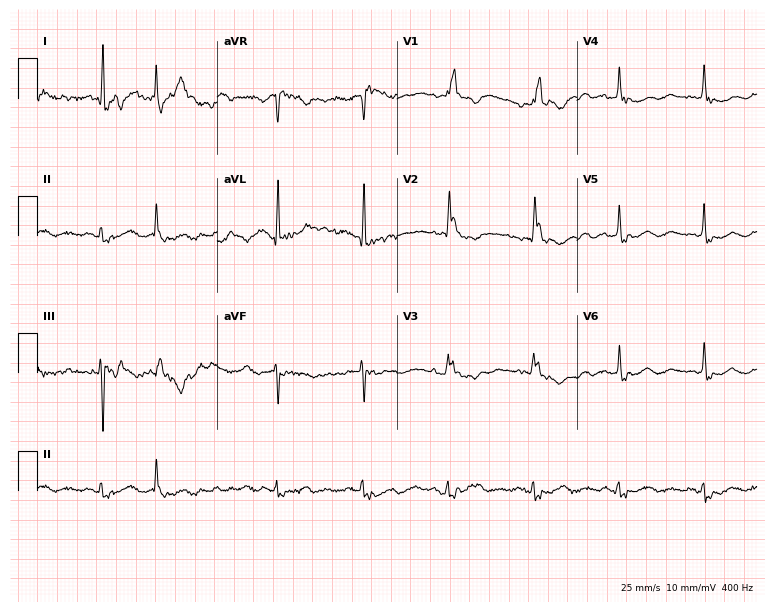
12-lead ECG (7.3-second recording at 400 Hz) from an 83-year-old female. Findings include right bundle branch block.